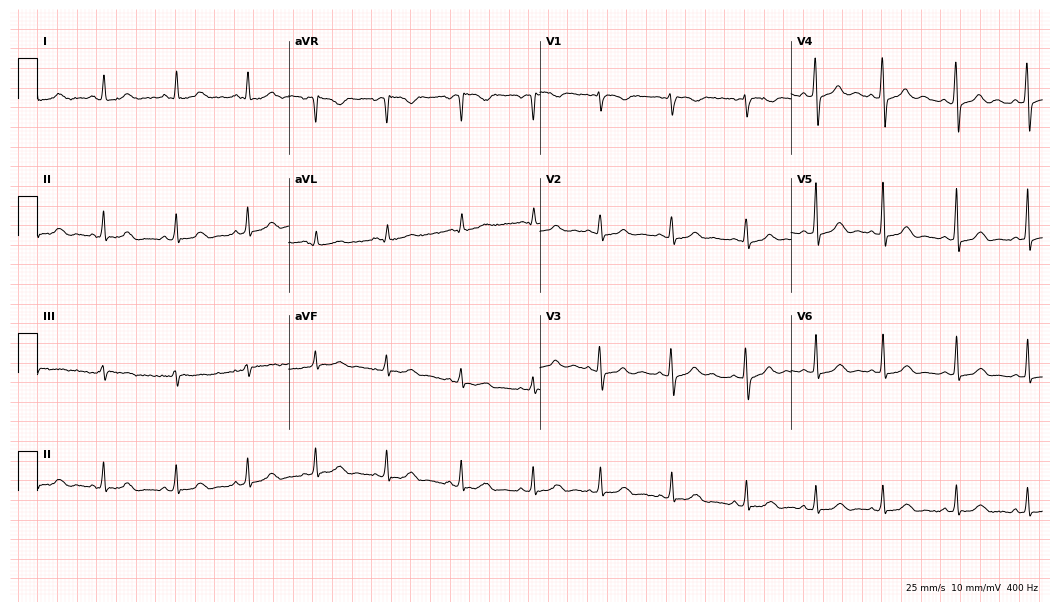
12-lead ECG from a woman, 29 years old. Recorded interpretation: within normal limits.